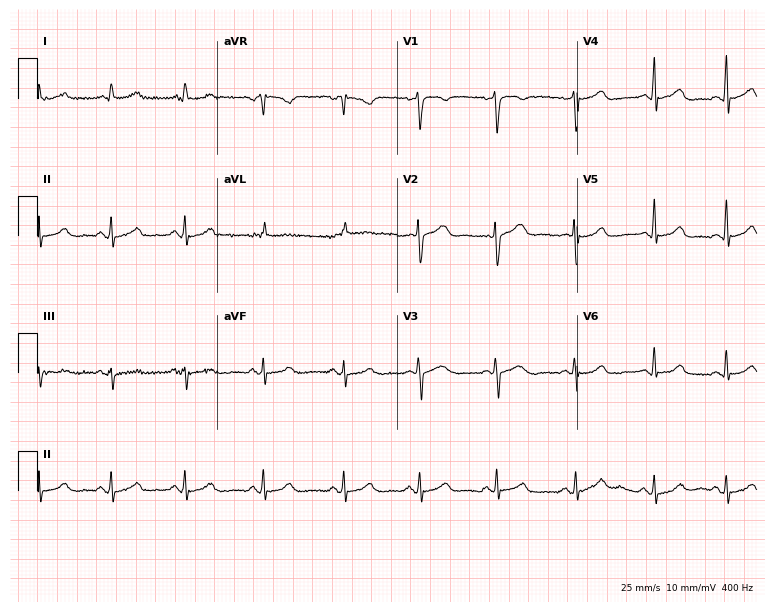
12-lead ECG (7.3-second recording at 400 Hz) from a 39-year-old woman. Labelled as a normal ECG.